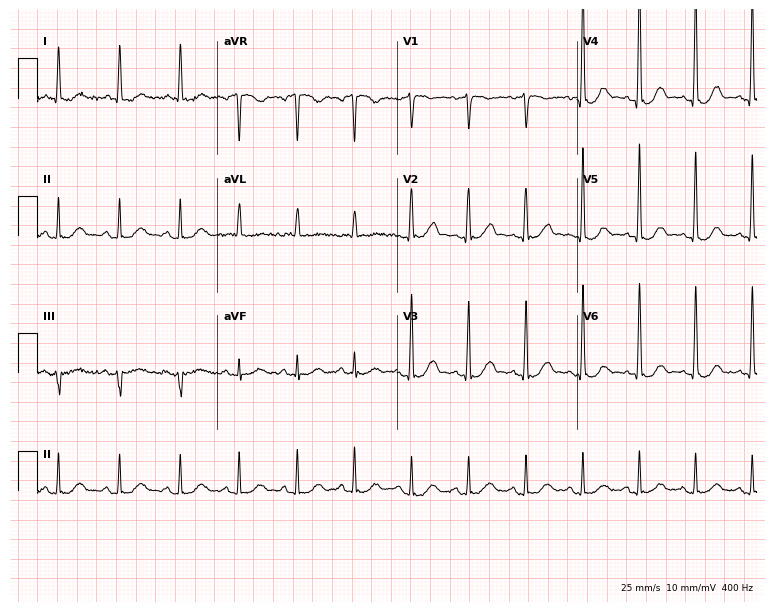
Resting 12-lead electrocardiogram (7.3-second recording at 400 Hz). Patient: a 77-year-old woman. The tracing shows sinus tachycardia (a sinus rate of 100 beats per minute or more).